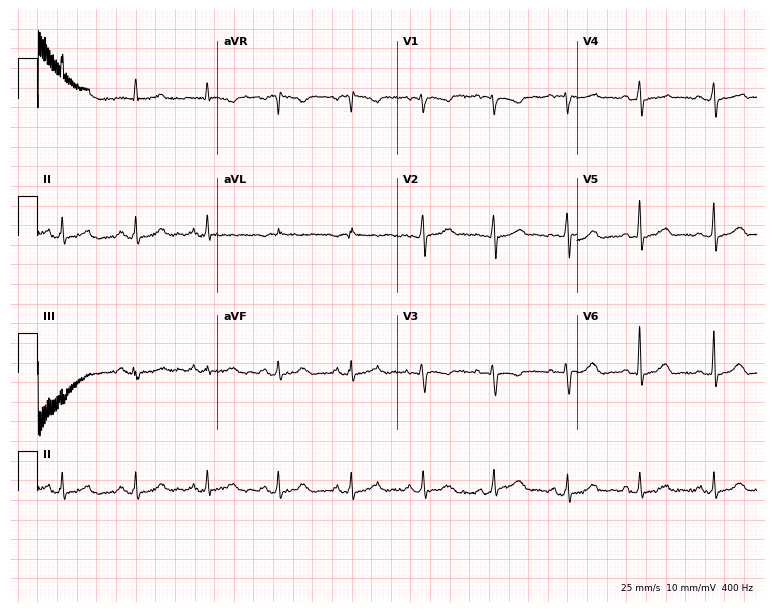
Resting 12-lead electrocardiogram. Patient: a 46-year-old woman. None of these six findings is recorded: first-degree AV block, right bundle branch block, left bundle branch block, sinus bradycardia, atrial fibrillation, sinus tachycardia.